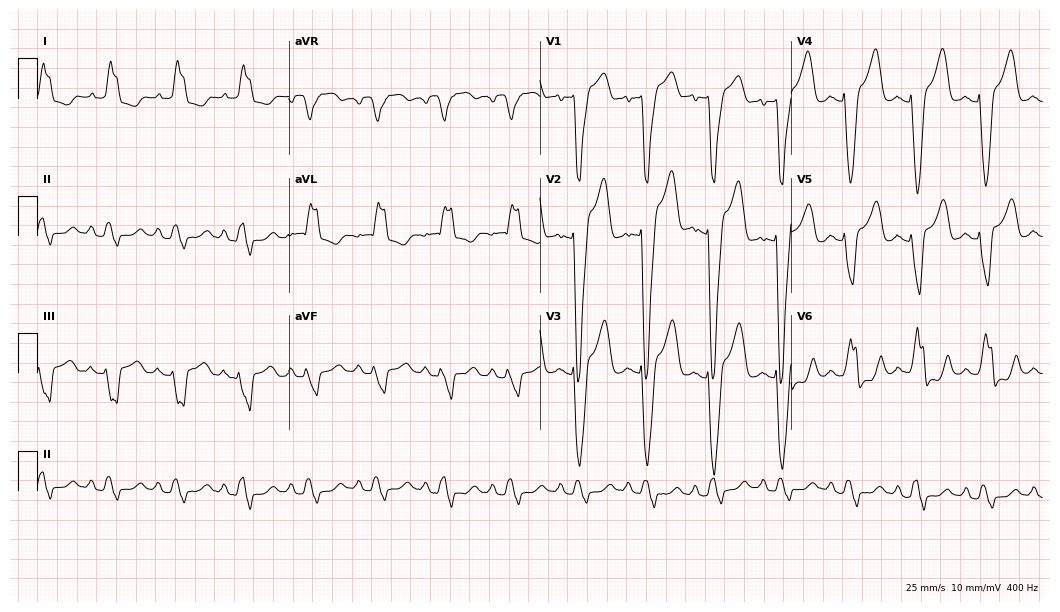
Resting 12-lead electrocardiogram (10.2-second recording at 400 Hz). Patient: a female, 56 years old. The tracing shows left bundle branch block.